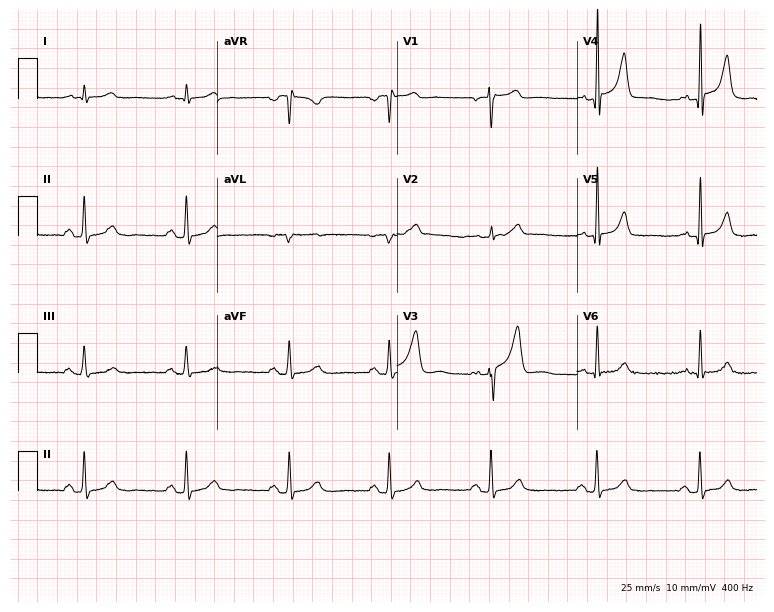
Standard 12-lead ECG recorded from a 61-year-old male (7.3-second recording at 400 Hz). Read as a normal ECG.